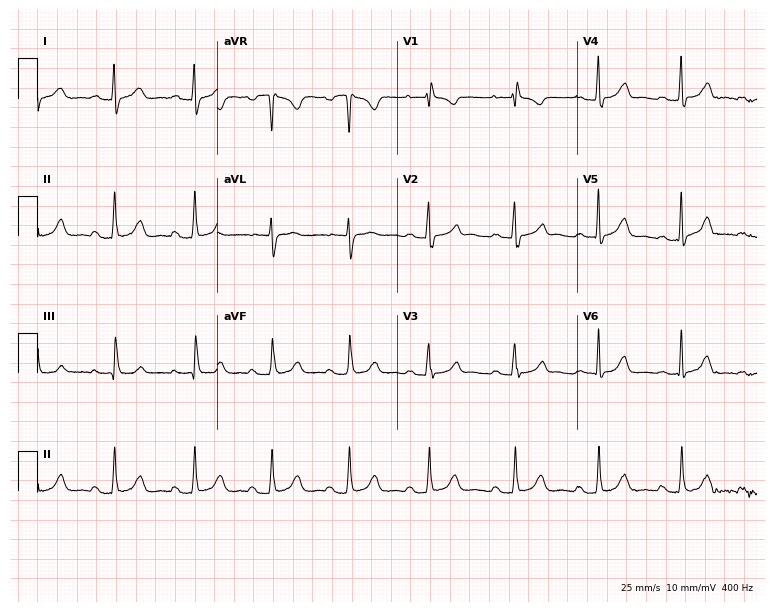
12-lead ECG from a female patient, 35 years old (7.3-second recording at 400 Hz). Shows first-degree AV block.